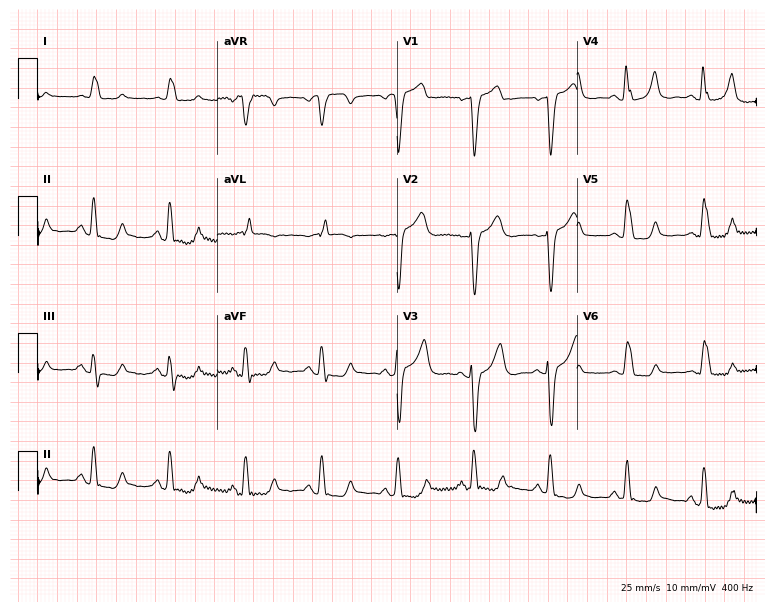
ECG — a woman, 73 years old. Findings include left bundle branch block.